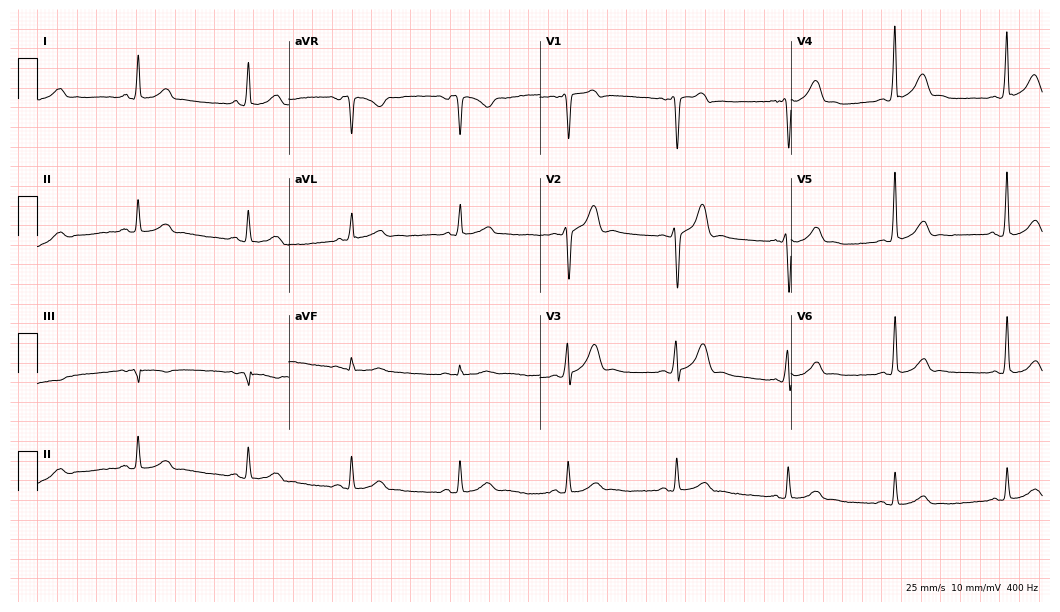
Resting 12-lead electrocardiogram (10.2-second recording at 400 Hz). Patient: a 30-year-old male. Read as a normal ECG.